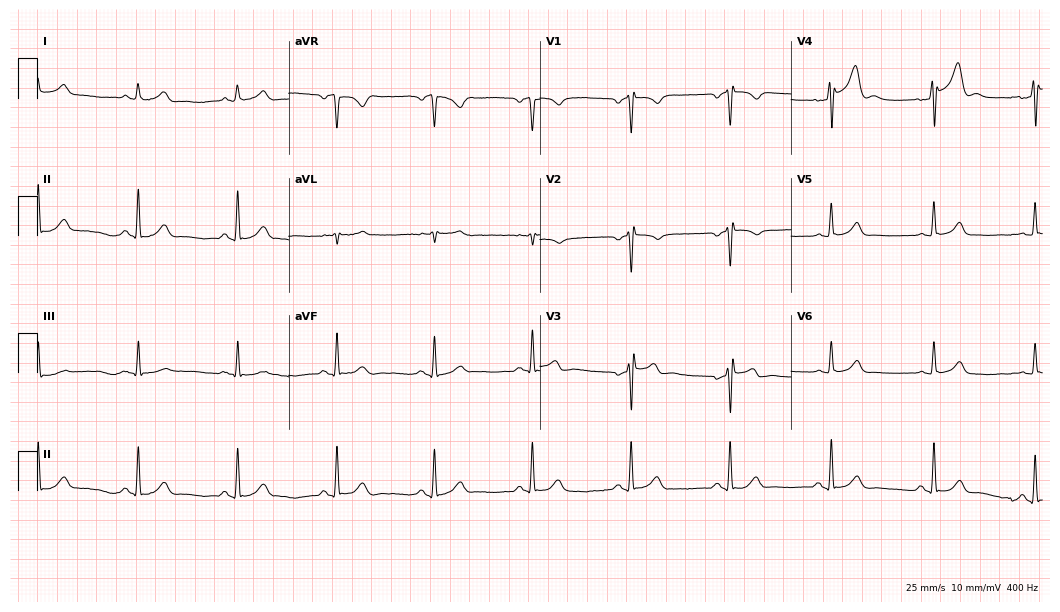
12-lead ECG from a male, 61 years old. Screened for six findings — first-degree AV block, right bundle branch block, left bundle branch block, sinus bradycardia, atrial fibrillation, sinus tachycardia — none is recorded. Findings outside these six are not listed.